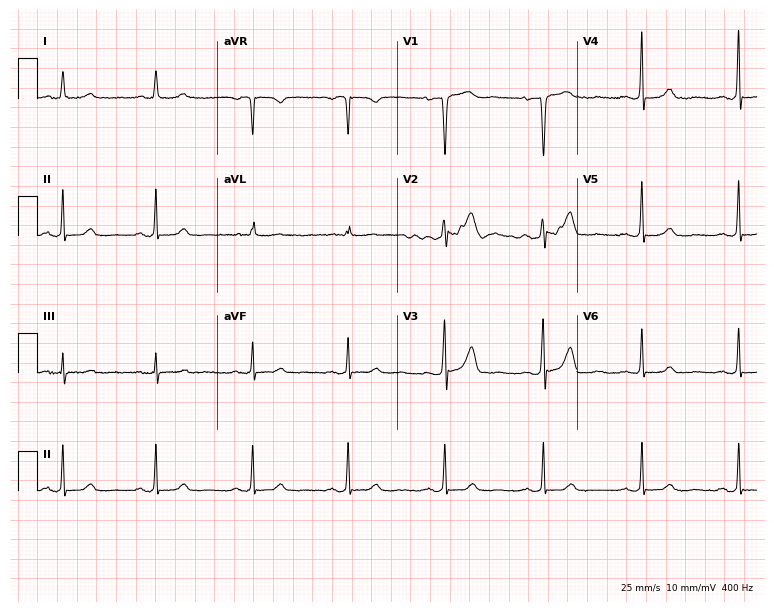
12-lead ECG from a female, 53 years old. No first-degree AV block, right bundle branch block (RBBB), left bundle branch block (LBBB), sinus bradycardia, atrial fibrillation (AF) or sinus tachycardia recorded for this tracing. Findings outside these six are not listed.